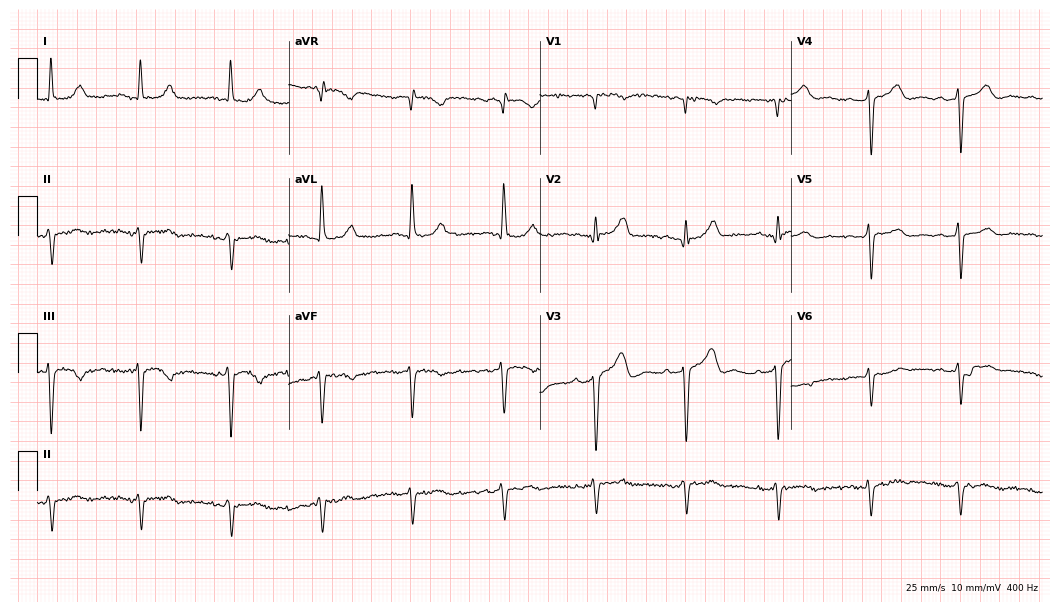
Electrocardiogram, an 83-year-old male patient. Of the six screened findings (first-degree AV block, right bundle branch block, left bundle branch block, sinus bradycardia, atrial fibrillation, sinus tachycardia), none is recorded.